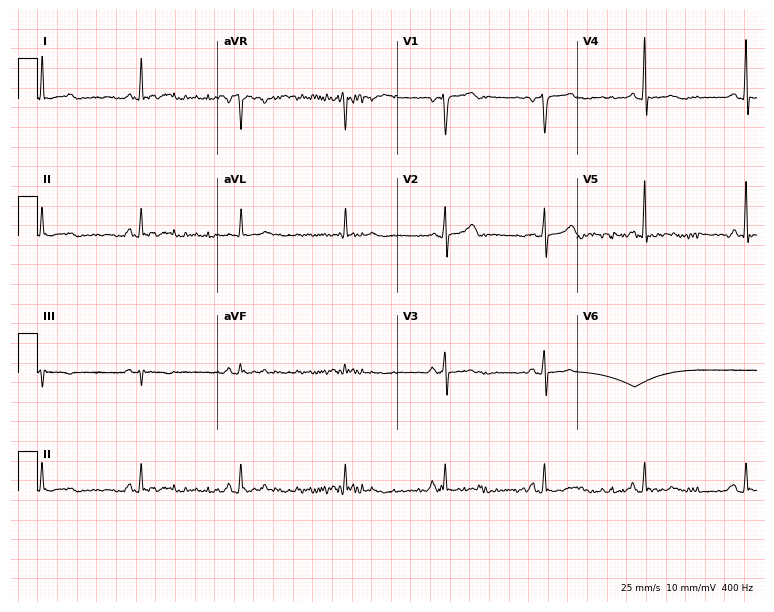
12-lead ECG from a 67-year-old woman. No first-degree AV block, right bundle branch block, left bundle branch block, sinus bradycardia, atrial fibrillation or sinus tachycardia recorded for this tracing.